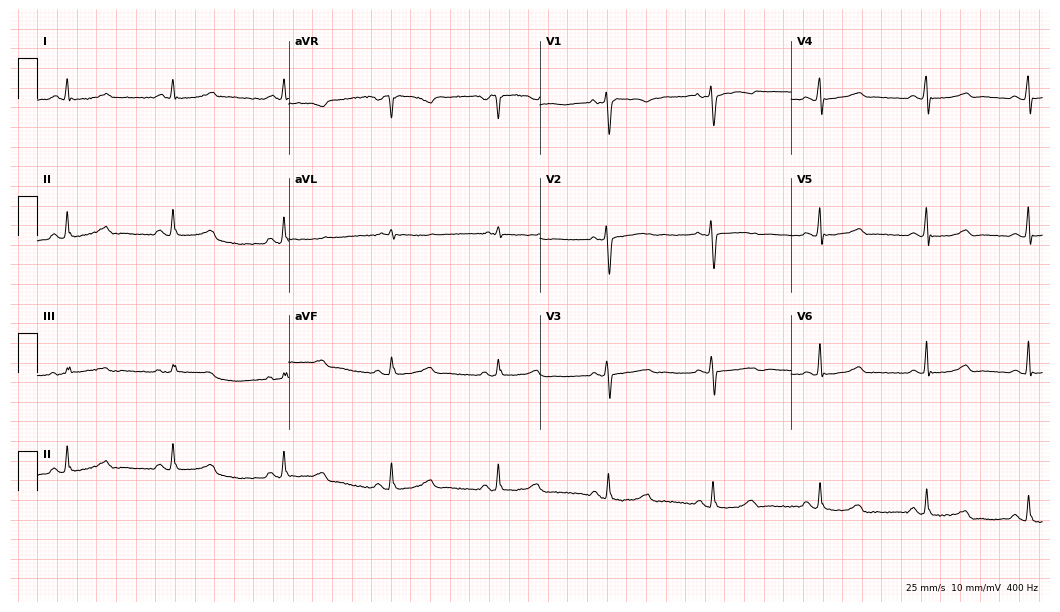
Resting 12-lead electrocardiogram (10.2-second recording at 400 Hz). Patient: a 49-year-old woman. None of these six findings is recorded: first-degree AV block, right bundle branch block, left bundle branch block, sinus bradycardia, atrial fibrillation, sinus tachycardia. Findings outside these six are not listed.